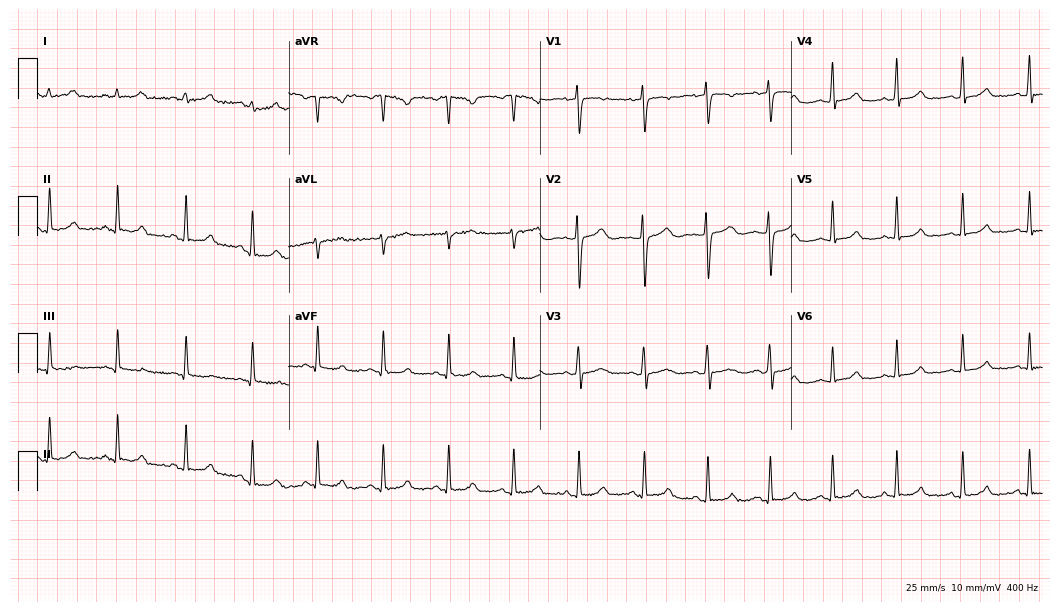
12-lead ECG from a 25-year-old female patient. Labelled as a normal ECG.